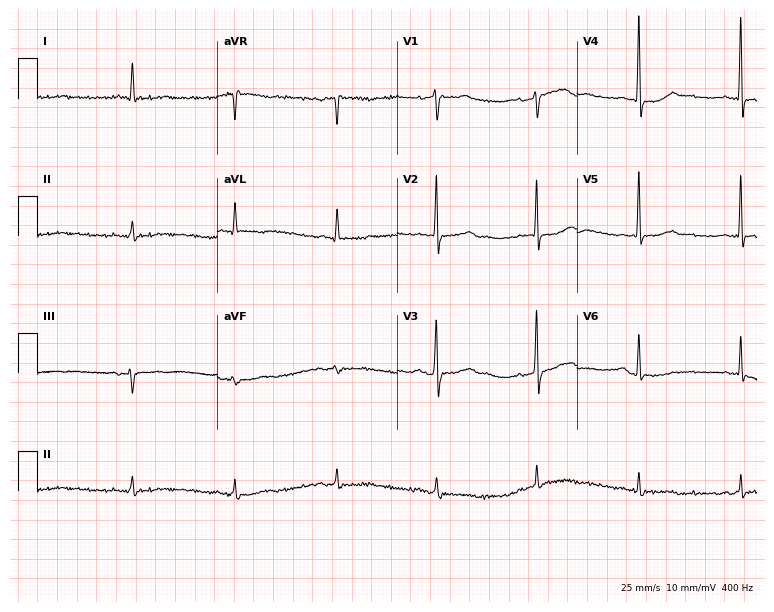
12-lead ECG from an 82-year-old male. No first-degree AV block, right bundle branch block, left bundle branch block, sinus bradycardia, atrial fibrillation or sinus tachycardia recorded for this tracing.